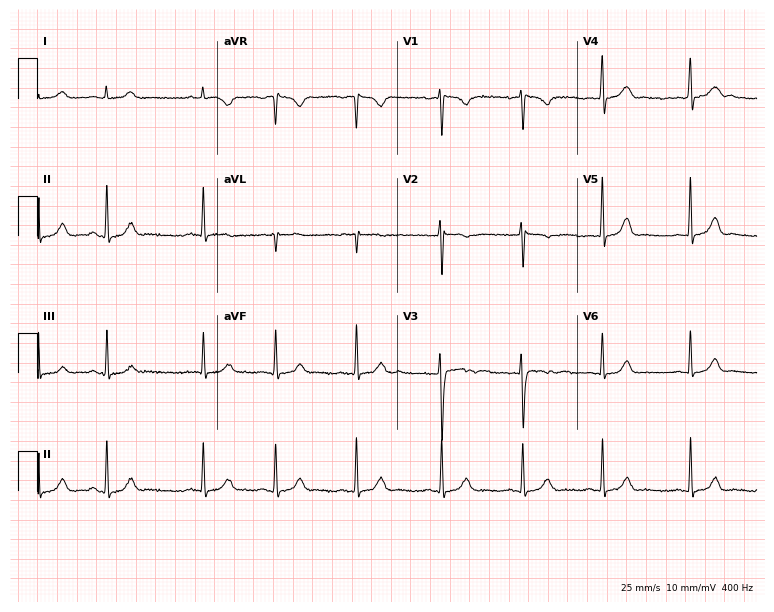
Electrocardiogram (7.3-second recording at 400 Hz), a 22-year-old female patient. Overall reading on record: normal ECG.